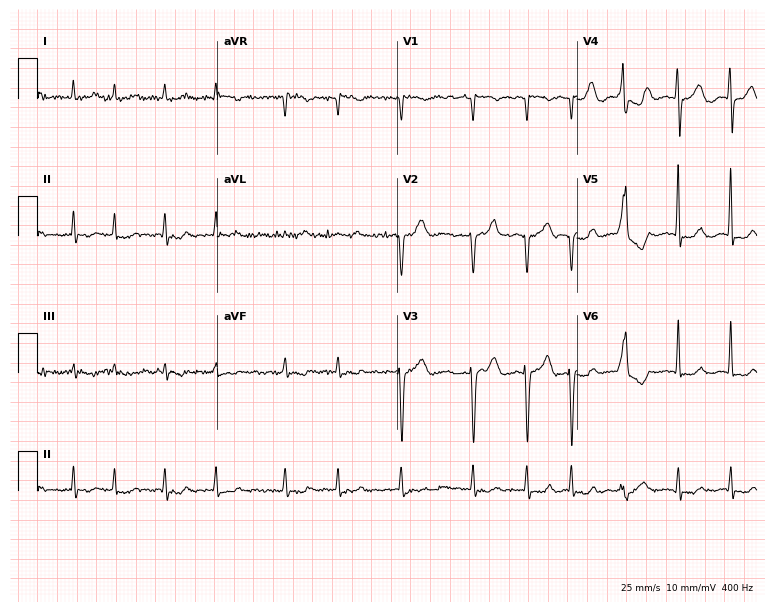
Standard 12-lead ECG recorded from a 79-year-old male. None of these six findings is recorded: first-degree AV block, right bundle branch block, left bundle branch block, sinus bradycardia, atrial fibrillation, sinus tachycardia.